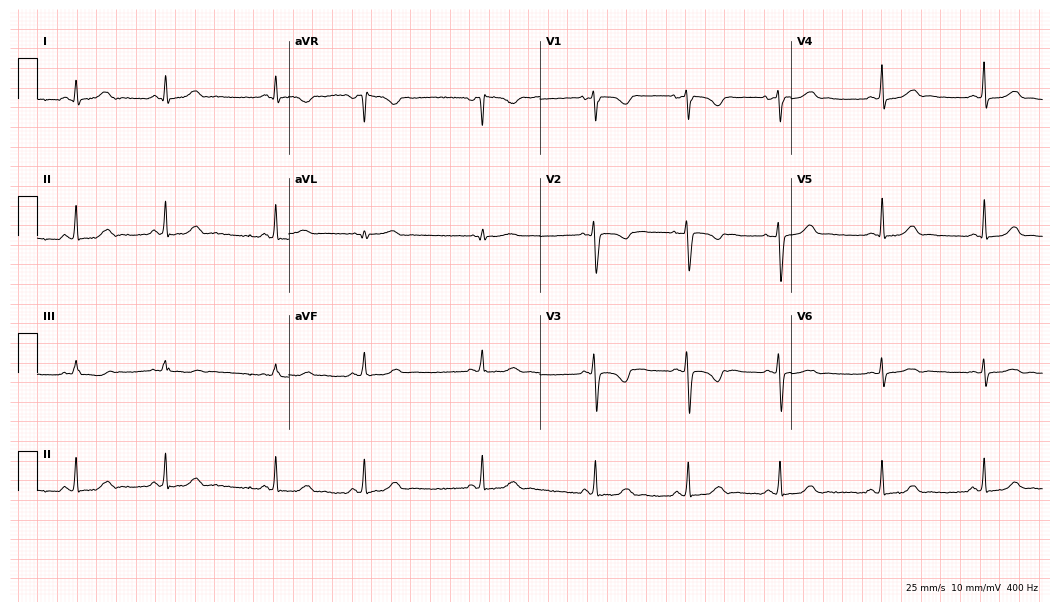
12-lead ECG from a female, 22 years old. No first-degree AV block, right bundle branch block (RBBB), left bundle branch block (LBBB), sinus bradycardia, atrial fibrillation (AF) or sinus tachycardia recorded for this tracing. Findings outside these six are not listed.